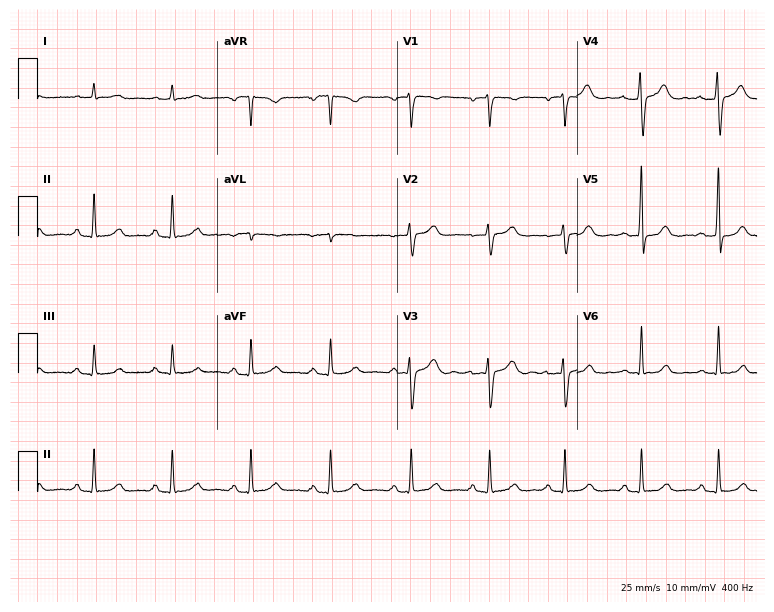
12-lead ECG from a woman, 49 years old (7.3-second recording at 400 Hz). Recorded interpretation: within normal limits.